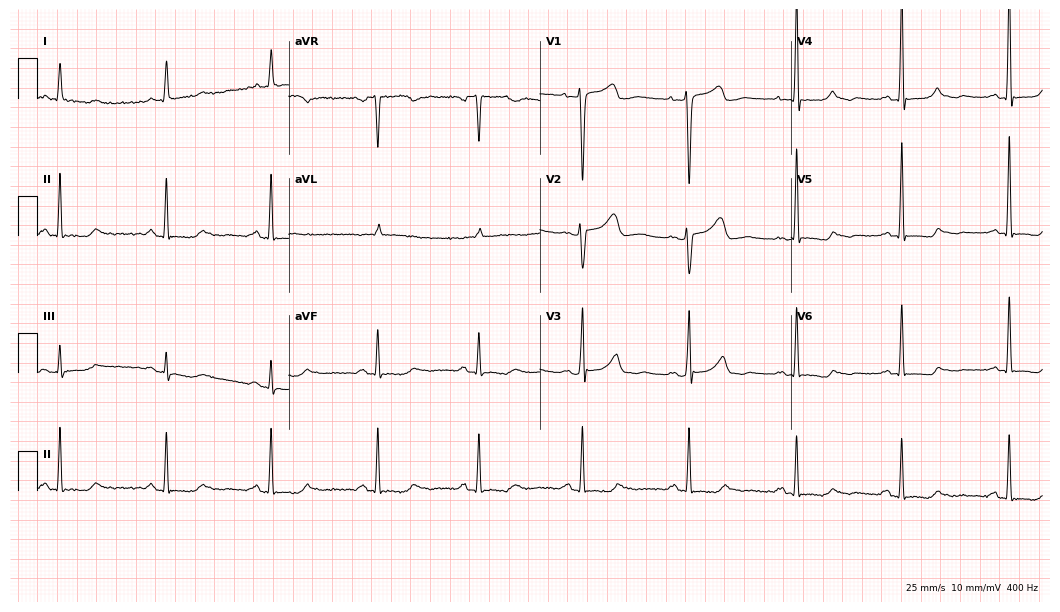
12-lead ECG (10.2-second recording at 400 Hz) from a female patient, 55 years old. Screened for six findings — first-degree AV block, right bundle branch block (RBBB), left bundle branch block (LBBB), sinus bradycardia, atrial fibrillation (AF), sinus tachycardia — none is recorded.